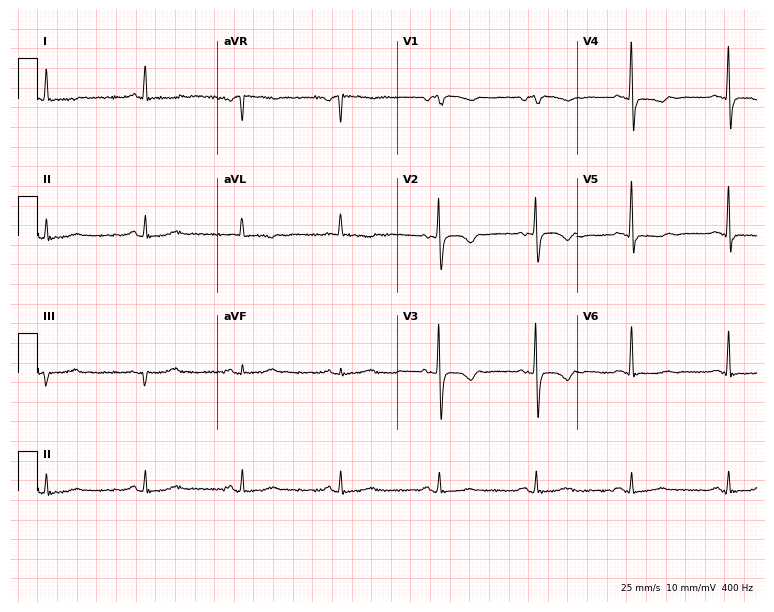
ECG — a woman, 77 years old. Screened for six findings — first-degree AV block, right bundle branch block, left bundle branch block, sinus bradycardia, atrial fibrillation, sinus tachycardia — none is recorded.